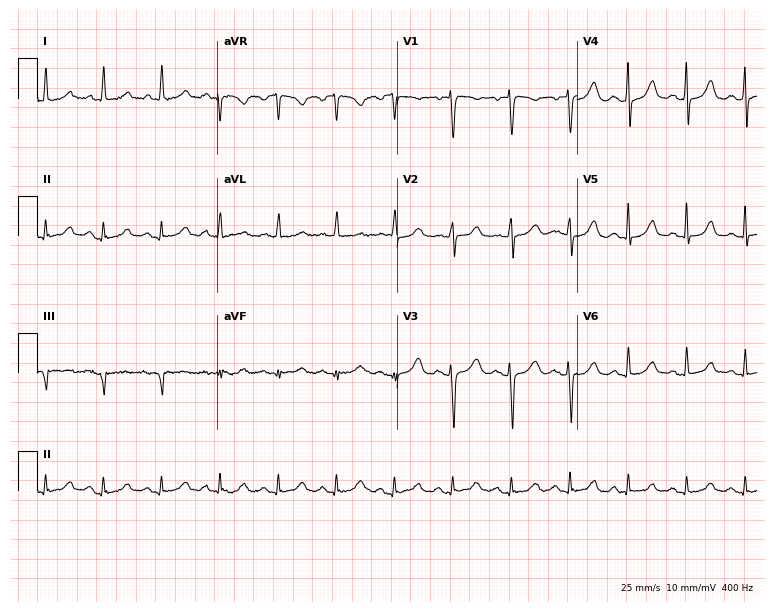
Resting 12-lead electrocardiogram. Patient: a female, 63 years old. The tracing shows sinus tachycardia (a sinus rate of 100 beats per minute or more).